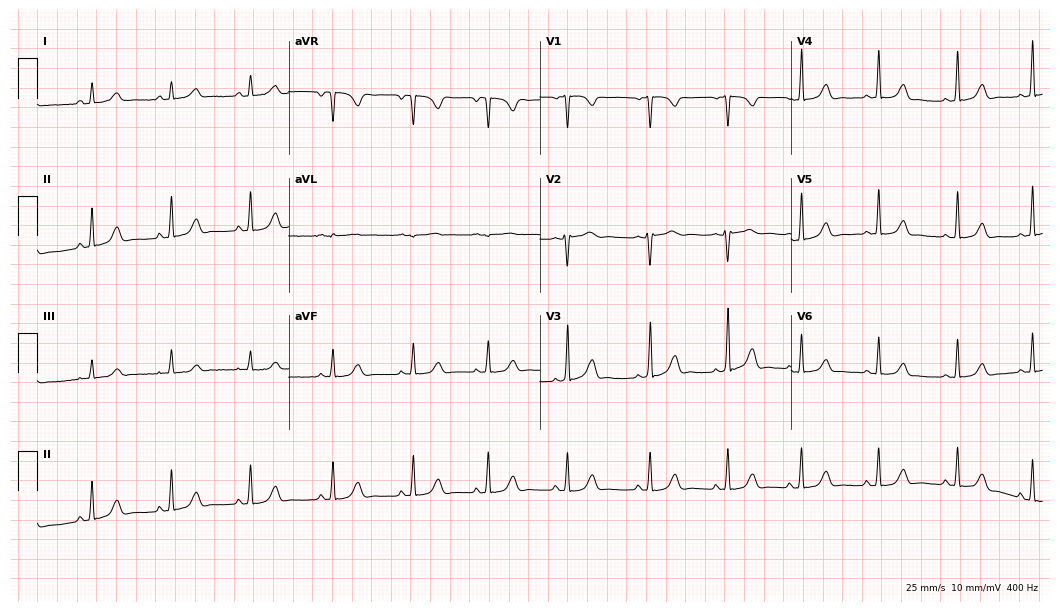
ECG — a 24-year-old female. Labelled as a normal ECG.